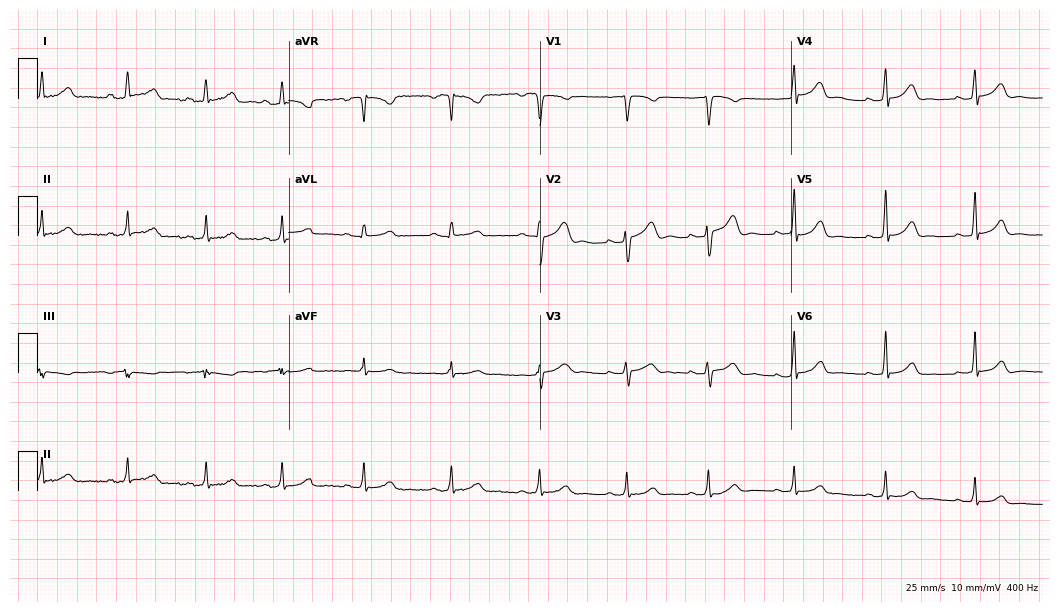
12-lead ECG (10.2-second recording at 400 Hz) from a female patient, 27 years old. Labelled as a normal ECG.